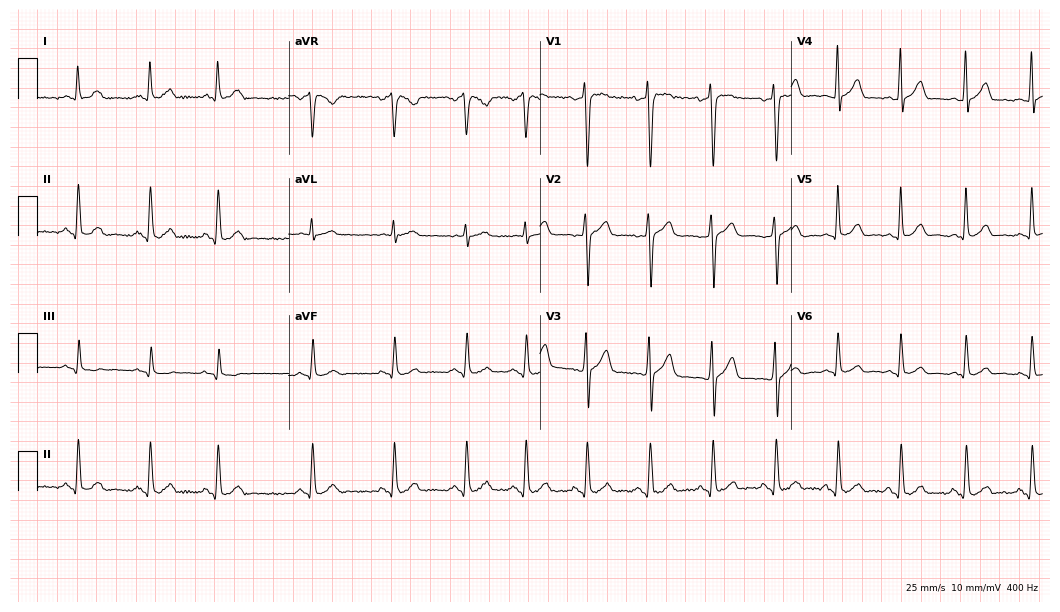
12-lead ECG (10.2-second recording at 400 Hz) from a 37-year-old male. Labelled as a normal ECG.